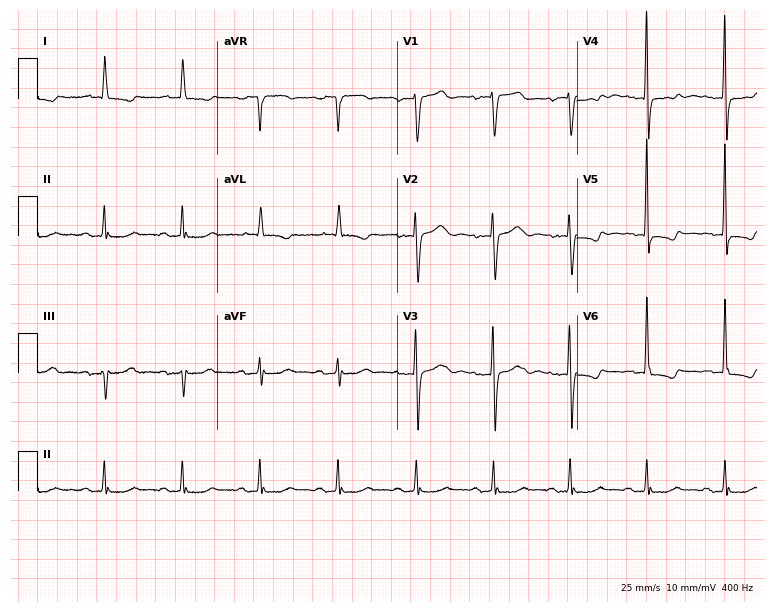
12-lead ECG from an 82-year-old female patient. No first-degree AV block, right bundle branch block (RBBB), left bundle branch block (LBBB), sinus bradycardia, atrial fibrillation (AF) or sinus tachycardia recorded for this tracing. Other findings, if any, are not listed.